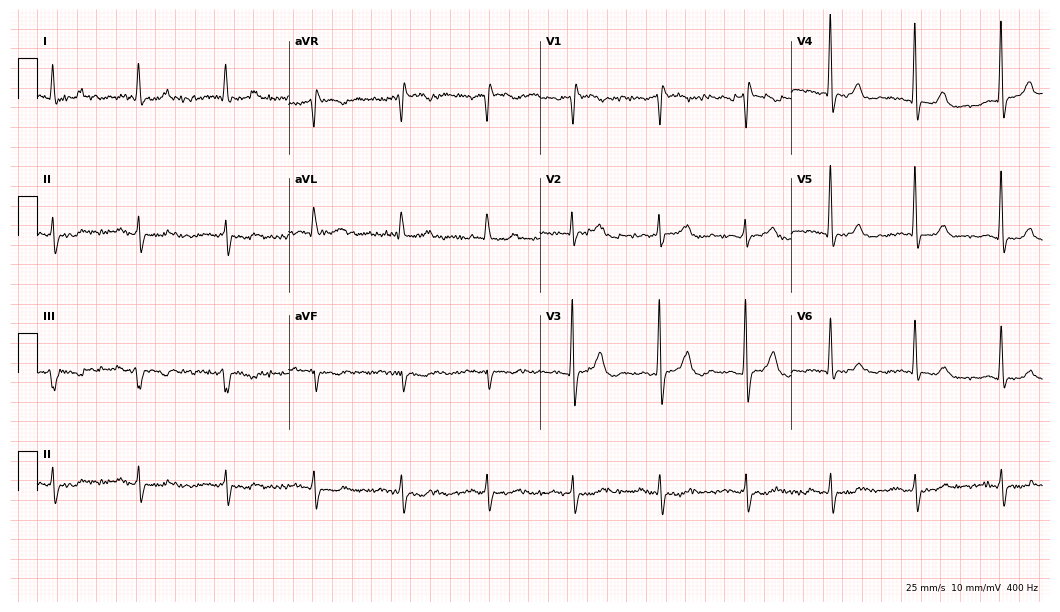
12-lead ECG (10.2-second recording at 400 Hz) from a male, 83 years old. Findings include right bundle branch block (RBBB).